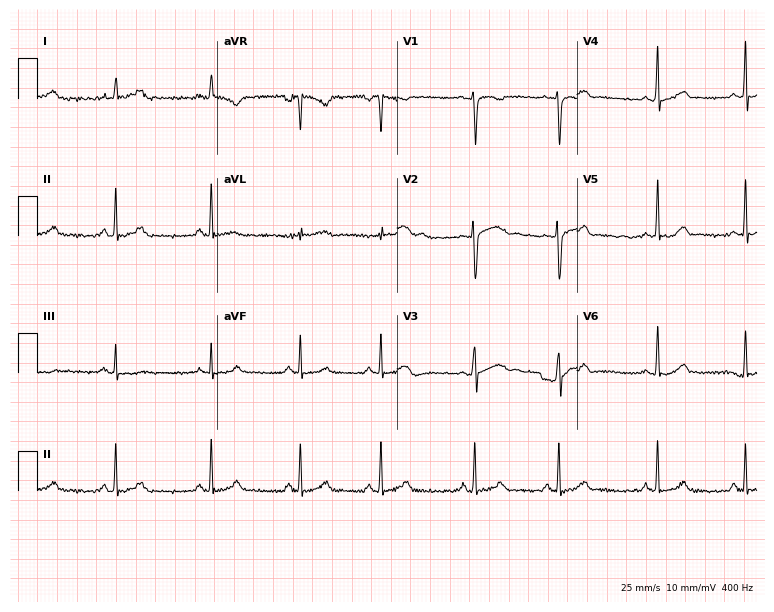
ECG — a 20-year-old woman. Labelled as a normal ECG.